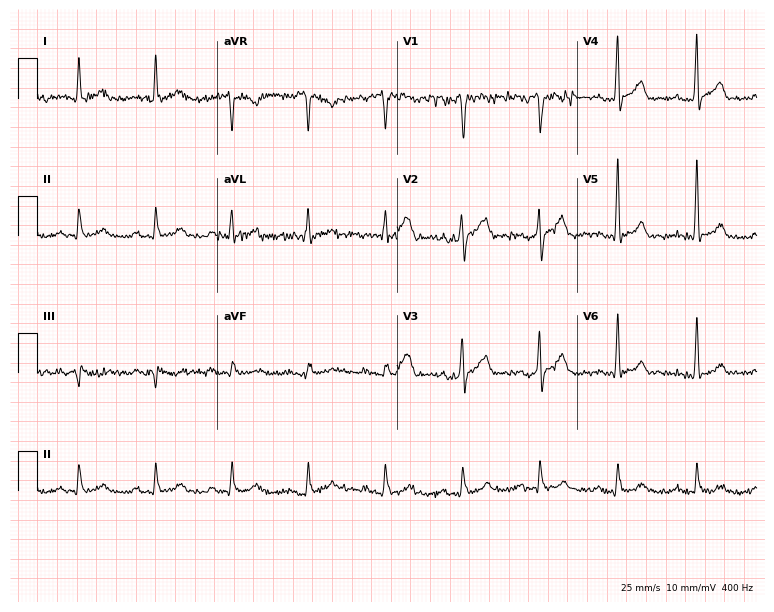
12-lead ECG from a male patient, 67 years old. Screened for six findings — first-degree AV block, right bundle branch block (RBBB), left bundle branch block (LBBB), sinus bradycardia, atrial fibrillation (AF), sinus tachycardia — none is recorded. Other findings, if any, are not listed.